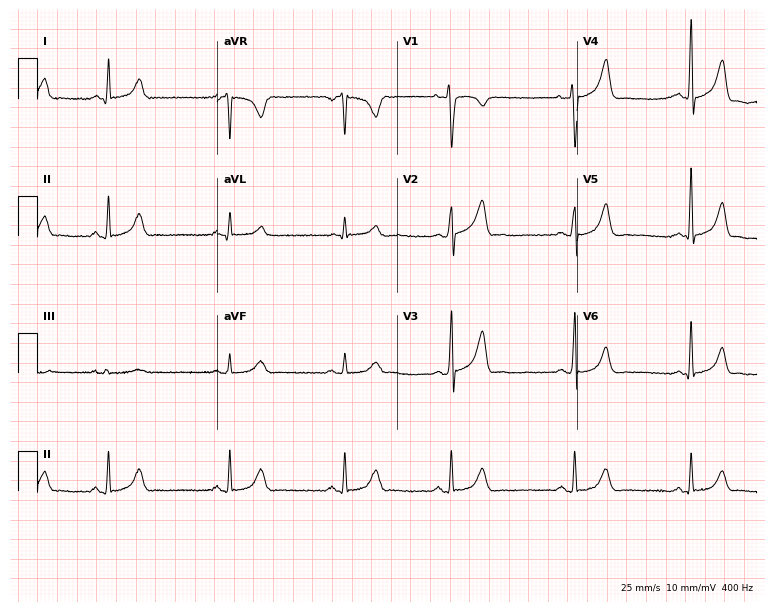
ECG — a female patient, 38 years old. Findings include sinus bradycardia (a sinus rate of 50 beats per minute or less).